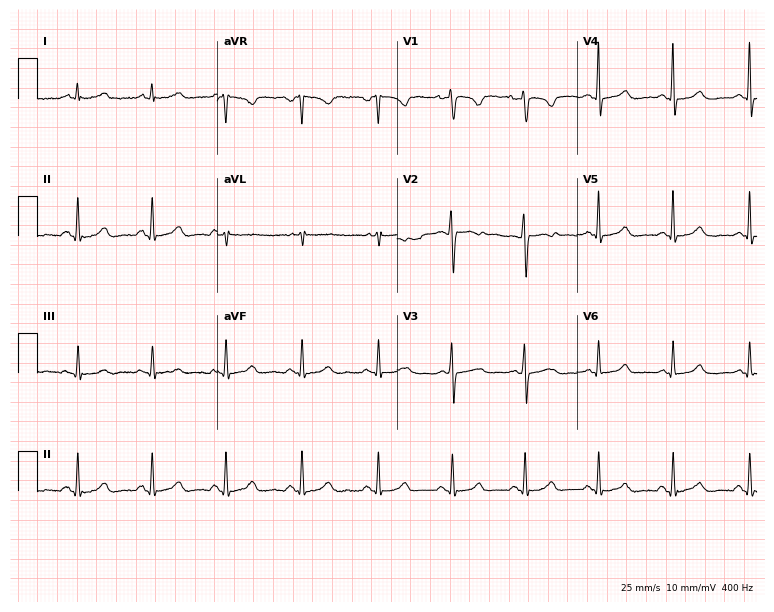
Electrocardiogram (7.3-second recording at 400 Hz), a 45-year-old female. Of the six screened findings (first-degree AV block, right bundle branch block (RBBB), left bundle branch block (LBBB), sinus bradycardia, atrial fibrillation (AF), sinus tachycardia), none is recorded.